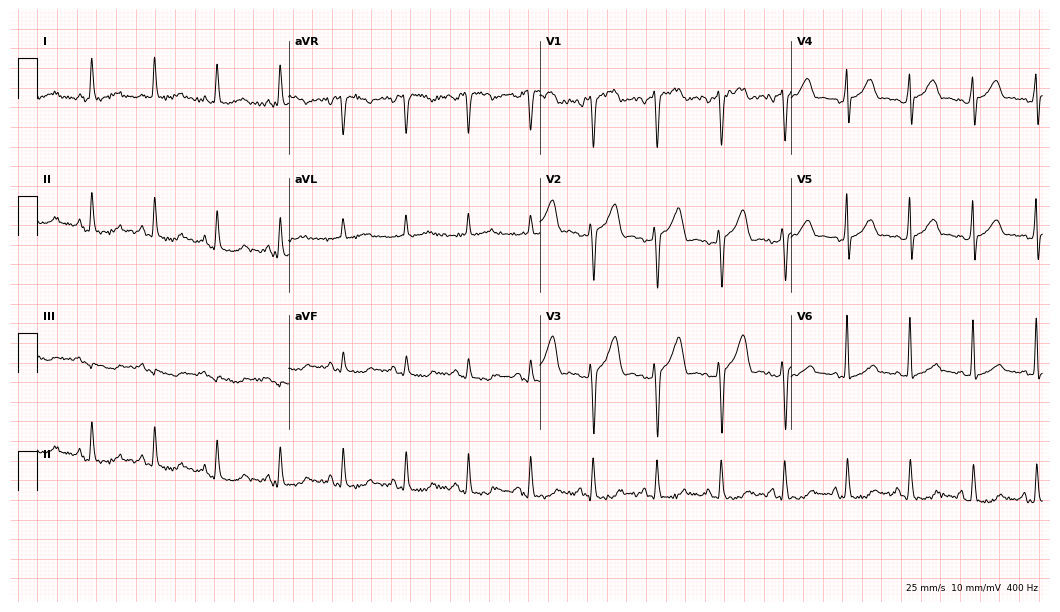
12-lead ECG from a 49-year-old female patient. Screened for six findings — first-degree AV block, right bundle branch block, left bundle branch block, sinus bradycardia, atrial fibrillation, sinus tachycardia — none is recorded. Only these six findings were labelled.